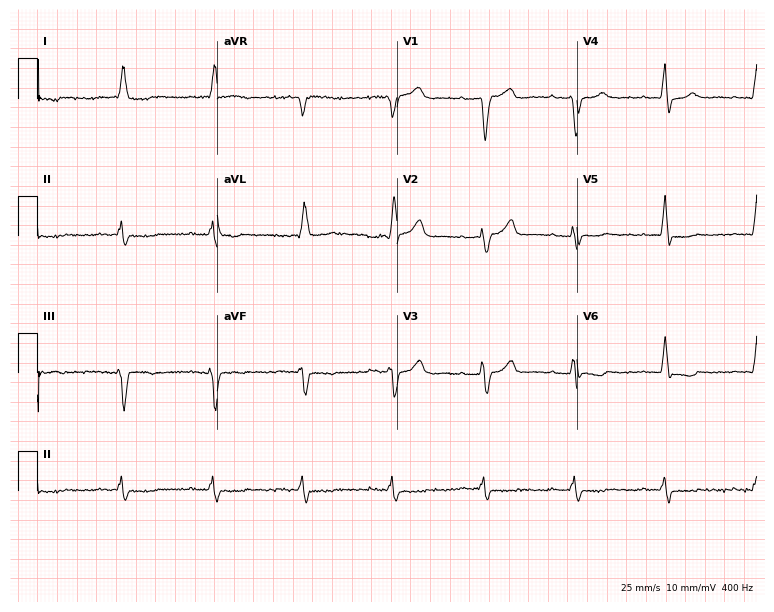
Standard 12-lead ECG recorded from a man, 73 years old. The tracing shows left bundle branch block (LBBB).